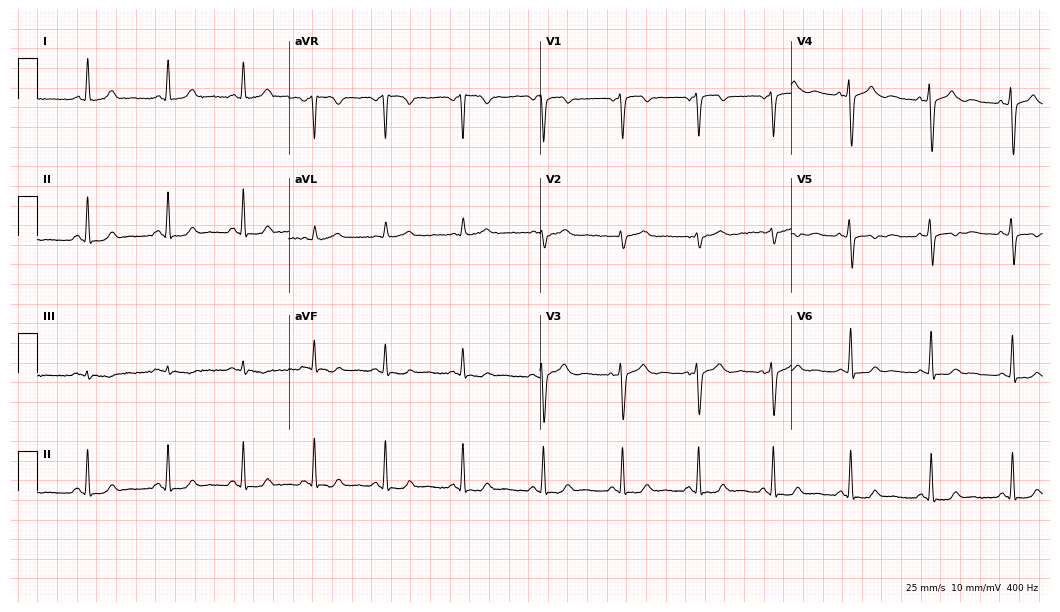
Resting 12-lead electrocardiogram (10.2-second recording at 400 Hz). Patient: a 42-year-old woman. None of these six findings is recorded: first-degree AV block, right bundle branch block, left bundle branch block, sinus bradycardia, atrial fibrillation, sinus tachycardia. Findings outside these six are not listed.